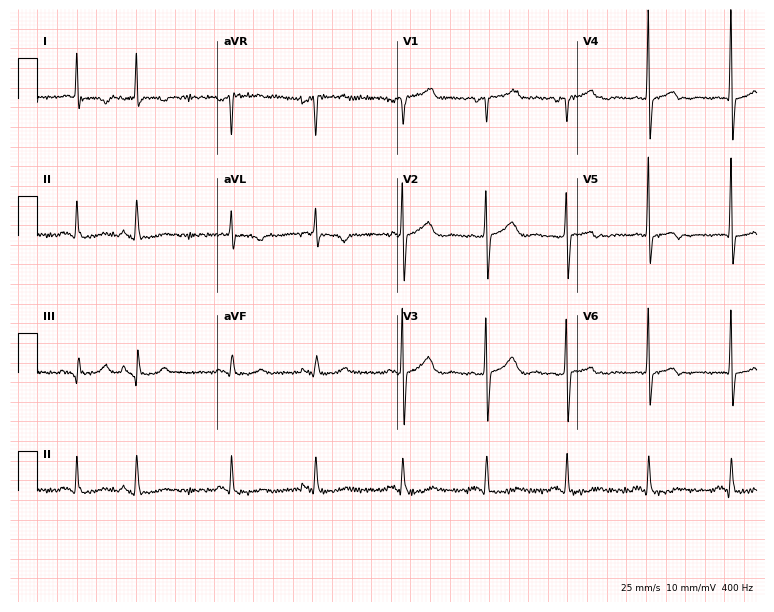
Standard 12-lead ECG recorded from a woman, 69 years old (7.3-second recording at 400 Hz). None of these six findings is recorded: first-degree AV block, right bundle branch block, left bundle branch block, sinus bradycardia, atrial fibrillation, sinus tachycardia.